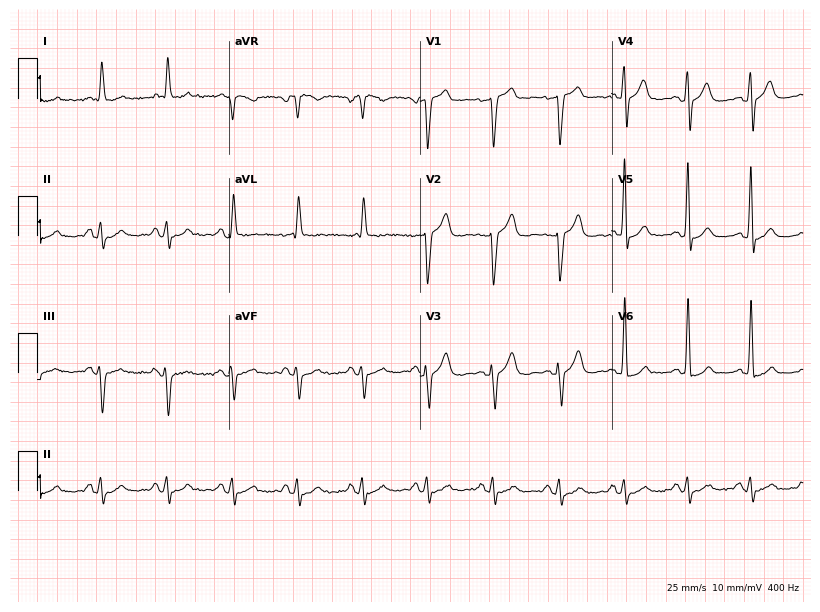
Standard 12-lead ECG recorded from a male, 49 years old. None of these six findings is recorded: first-degree AV block, right bundle branch block, left bundle branch block, sinus bradycardia, atrial fibrillation, sinus tachycardia.